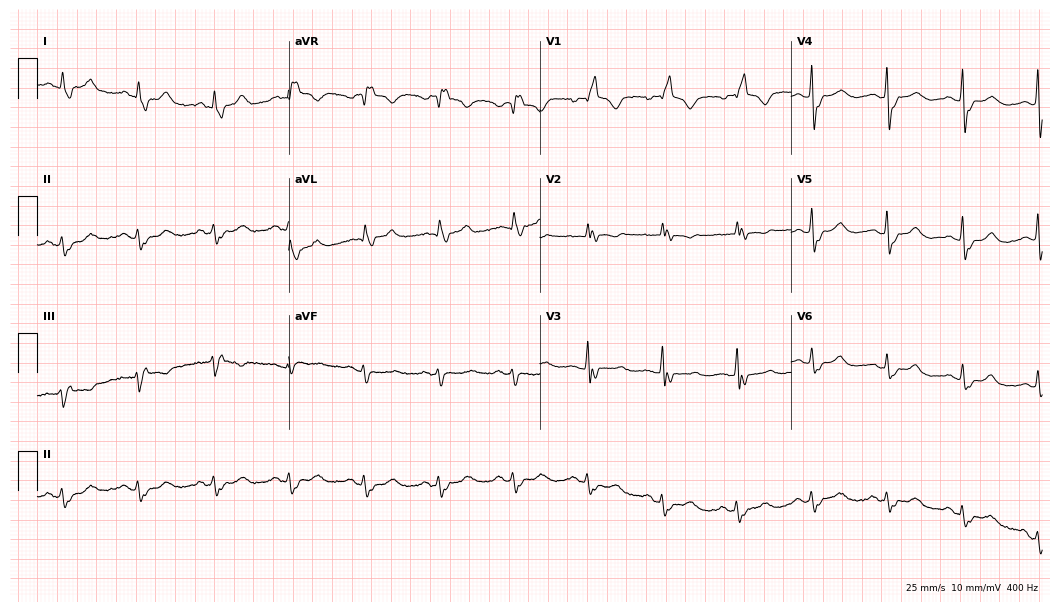
Standard 12-lead ECG recorded from a 77-year-old female (10.2-second recording at 400 Hz). The tracing shows right bundle branch block.